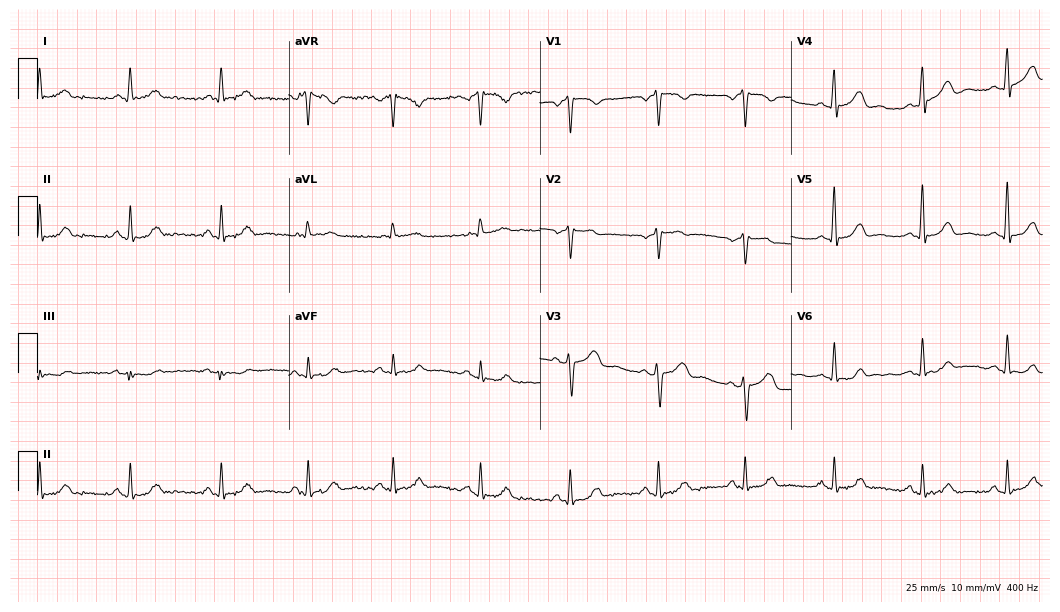
ECG — a woman, 43 years old. Labelled as a normal ECG.